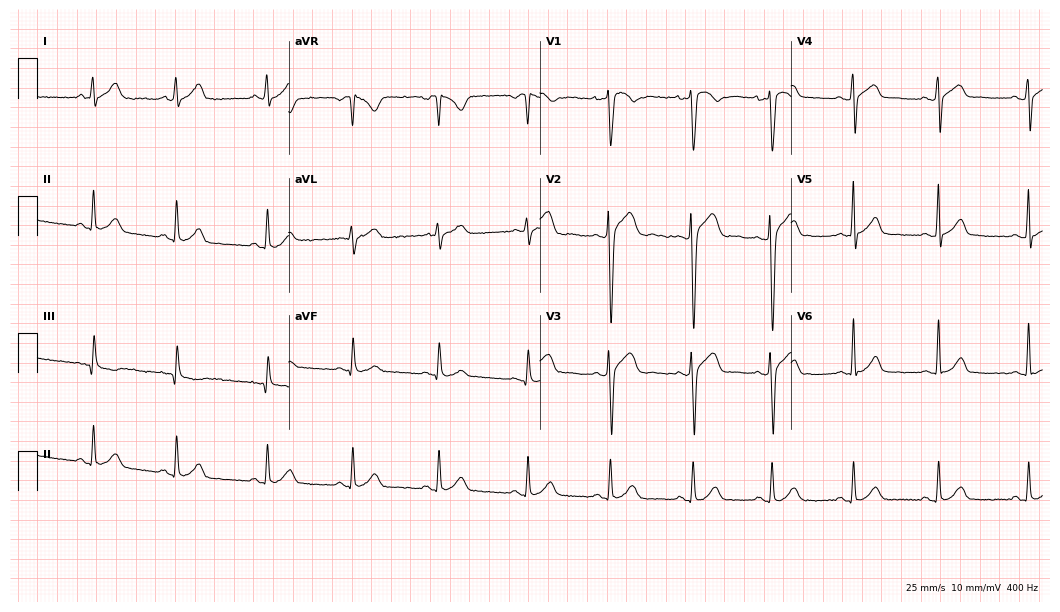
12-lead ECG from a 20-year-old male patient. Recorded interpretation: within normal limits.